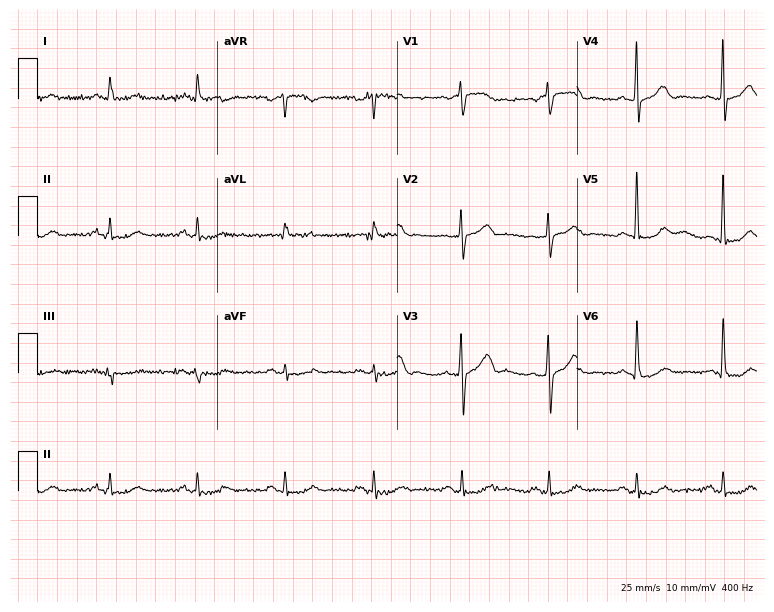
ECG (7.3-second recording at 400 Hz) — an 81-year-old male patient. Labelled as a normal ECG.